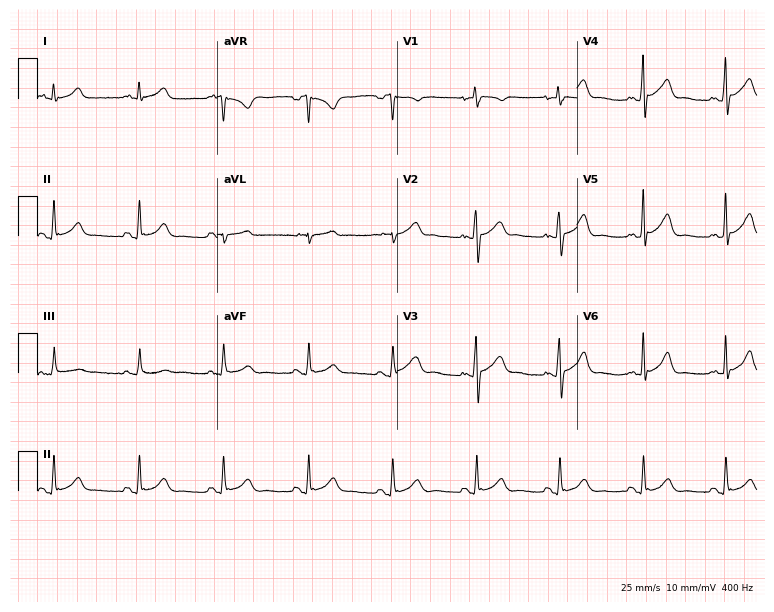
ECG (7.3-second recording at 400 Hz) — a 38-year-old male. Labelled as a normal ECG.